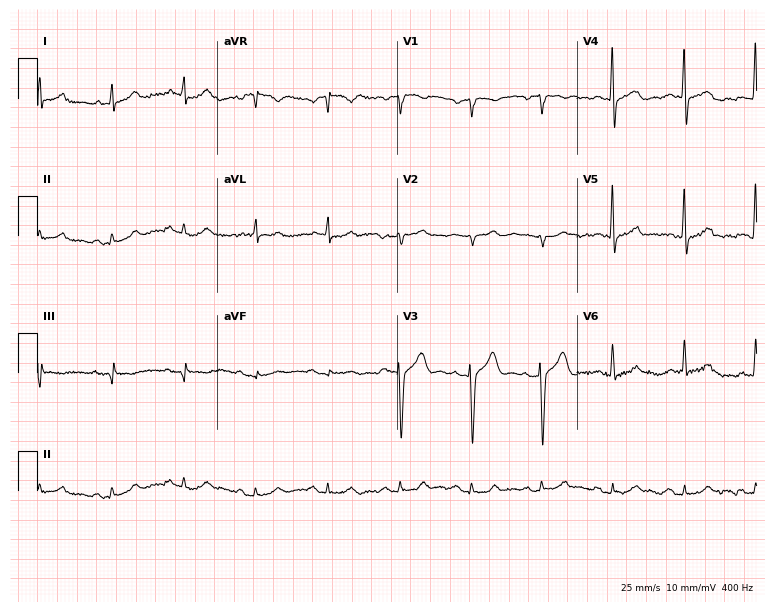
Standard 12-lead ECG recorded from a 50-year-old male. Read as a normal ECG.